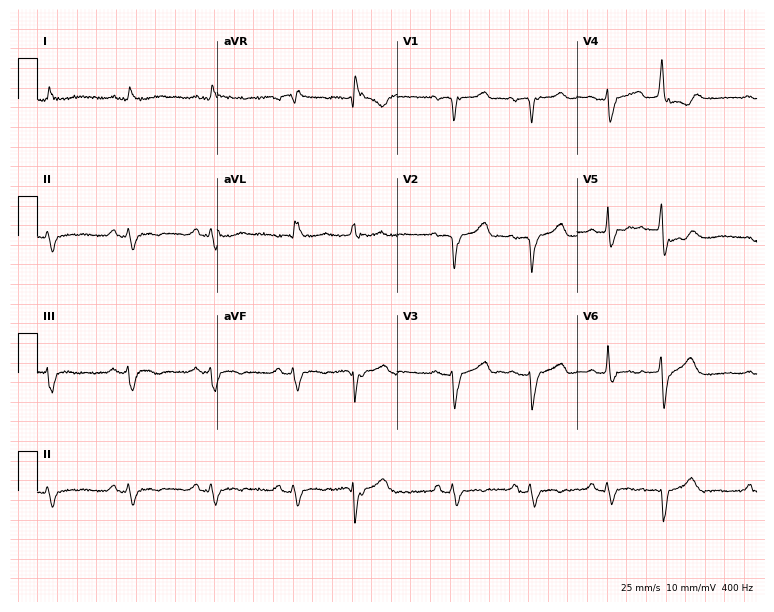
Electrocardiogram, a female patient, 70 years old. Interpretation includes left bundle branch block (LBBB).